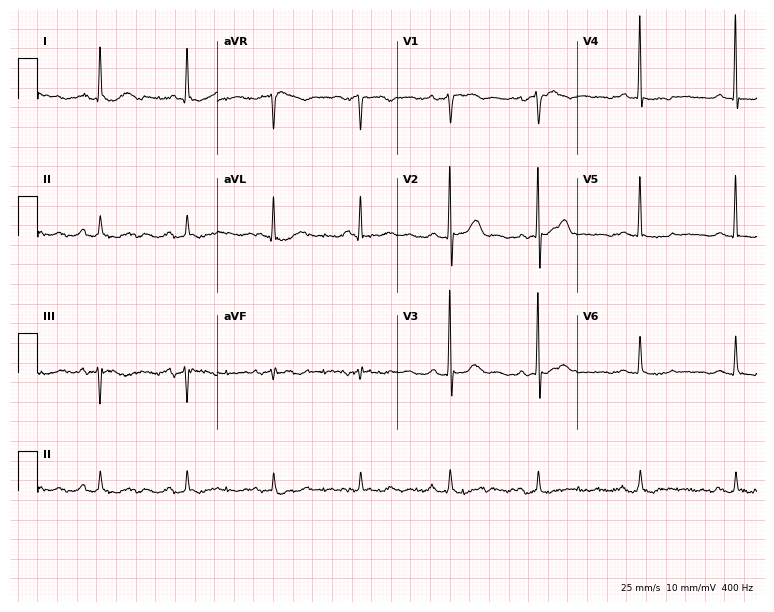
ECG (7.3-second recording at 400 Hz) — an 83-year-old man. Screened for six findings — first-degree AV block, right bundle branch block, left bundle branch block, sinus bradycardia, atrial fibrillation, sinus tachycardia — none is recorded.